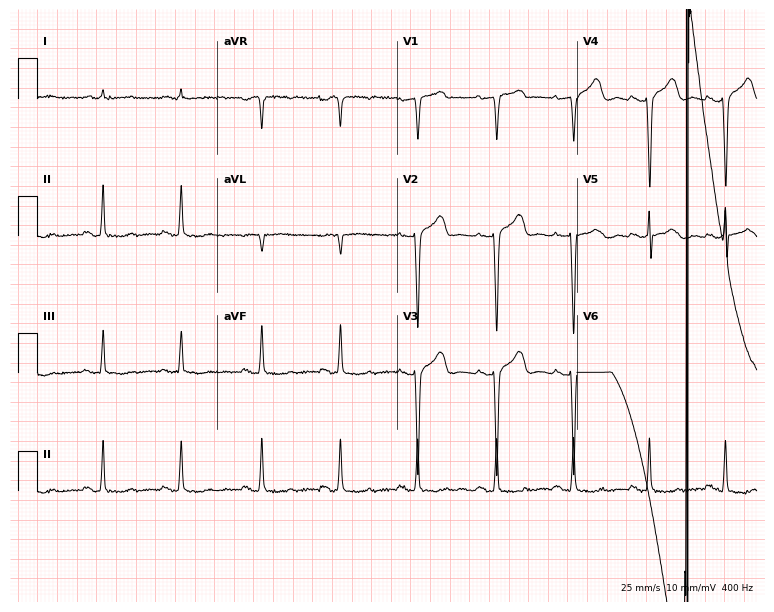
ECG (7.3-second recording at 400 Hz) — a male patient, 61 years old. Screened for six findings — first-degree AV block, right bundle branch block, left bundle branch block, sinus bradycardia, atrial fibrillation, sinus tachycardia — none is recorded. Findings outside these six are not listed.